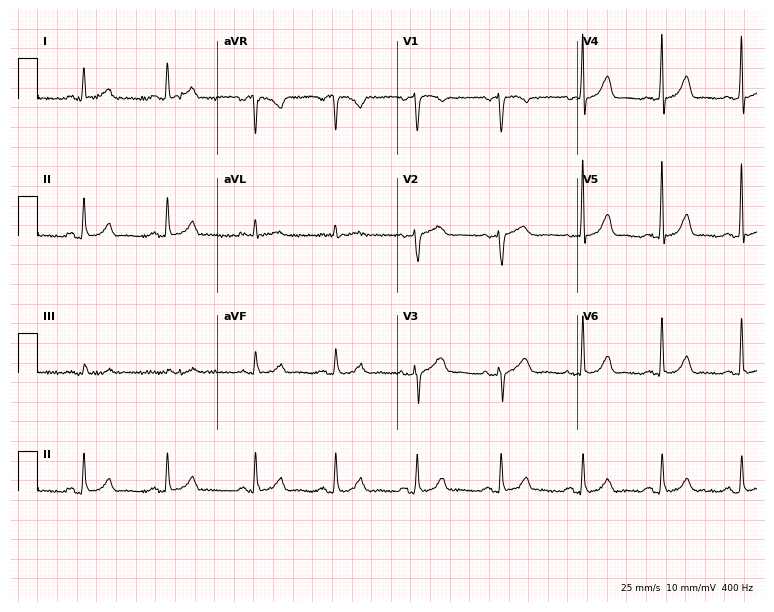
Electrocardiogram (7.3-second recording at 400 Hz), a 51-year-old woman. Overall reading on record: normal ECG.